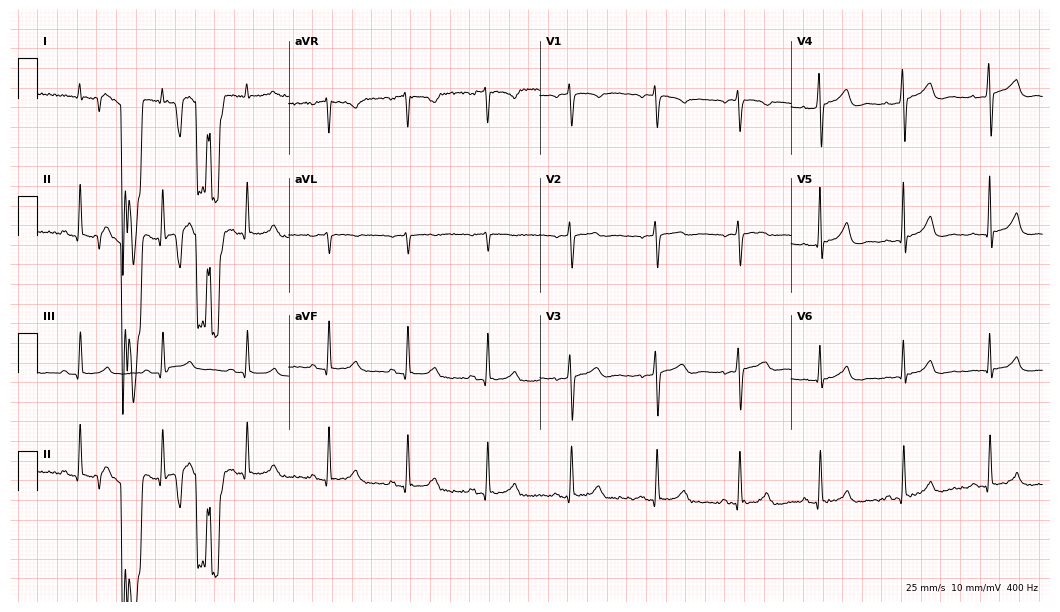
12-lead ECG from a 68-year-old male. Labelled as a normal ECG.